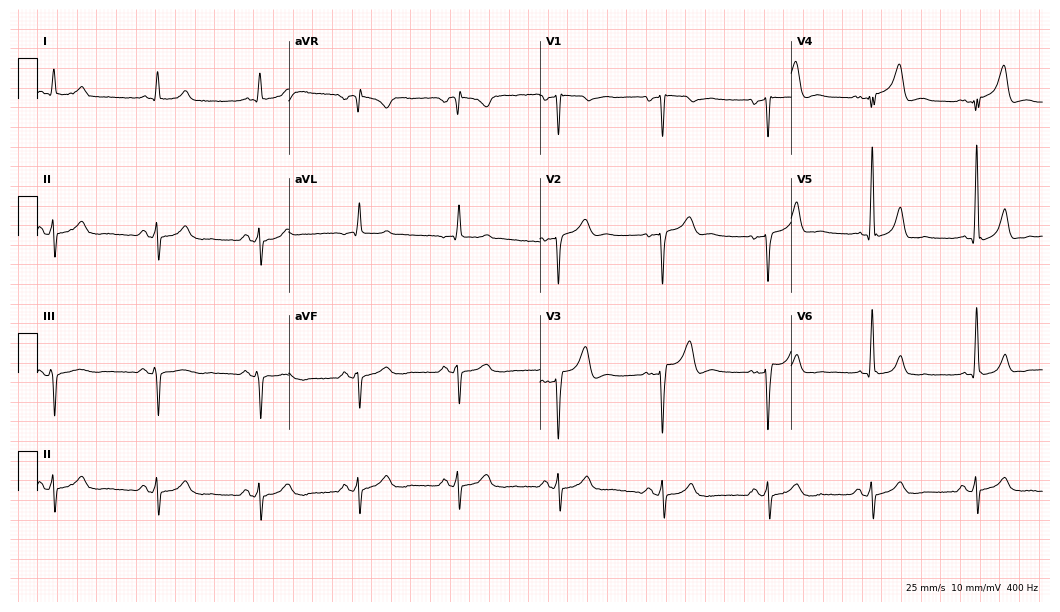
Standard 12-lead ECG recorded from a male, 64 years old. None of these six findings is recorded: first-degree AV block, right bundle branch block (RBBB), left bundle branch block (LBBB), sinus bradycardia, atrial fibrillation (AF), sinus tachycardia. Only these six findings were labelled.